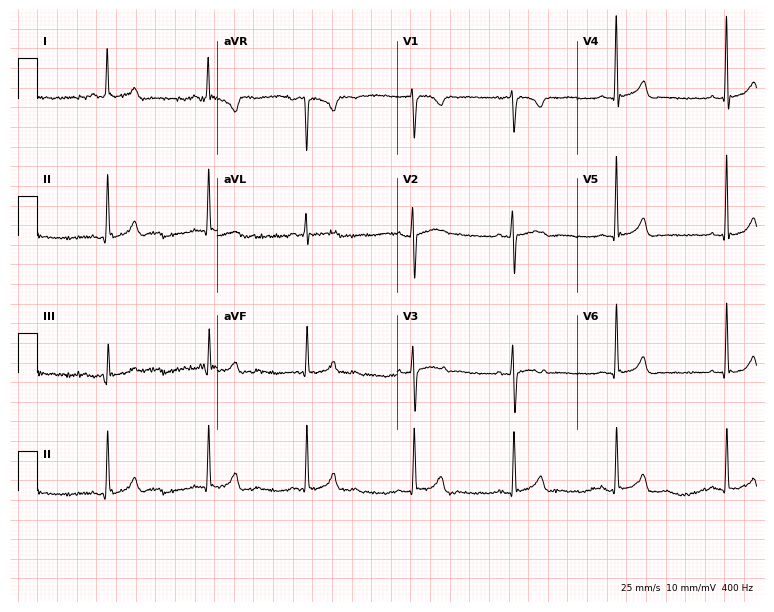
Standard 12-lead ECG recorded from a female, 25 years old. Read as a normal ECG.